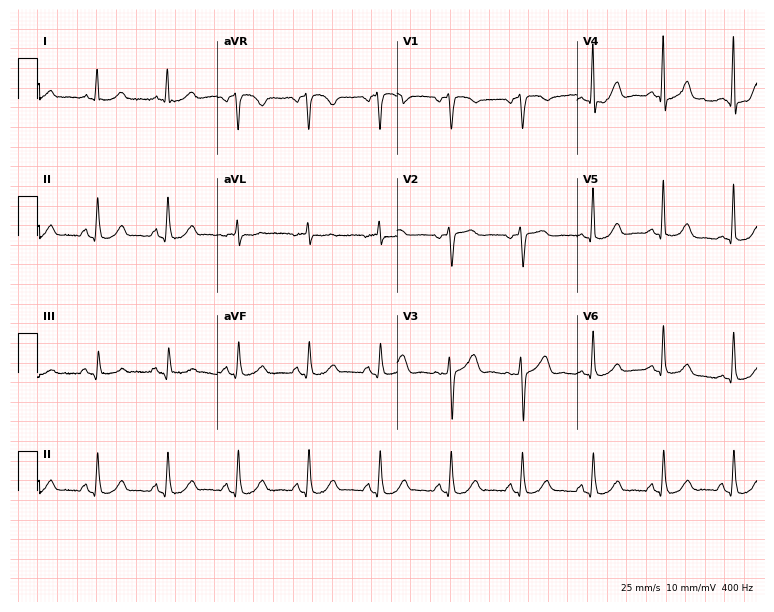
ECG — a 59-year-old female. Screened for six findings — first-degree AV block, right bundle branch block (RBBB), left bundle branch block (LBBB), sinus bradycardia, atrial fibrillation (AF), sinus tachycardia — none is recorded.